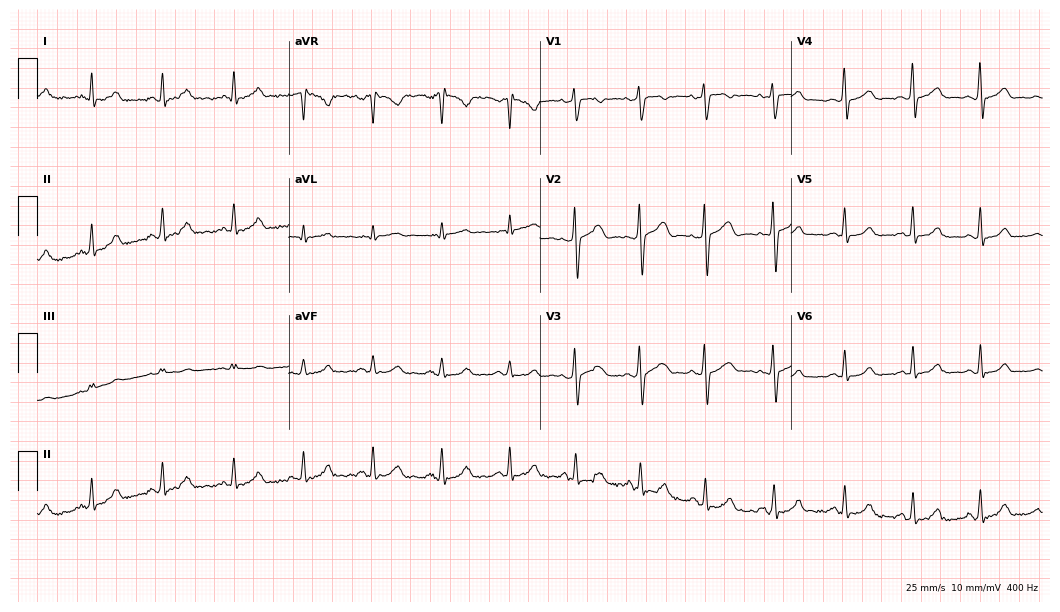
Electrocardiogram (10.2-second recording at 400 Hz), a 41-year-old female patient. Overall reading on record: normal ECG.